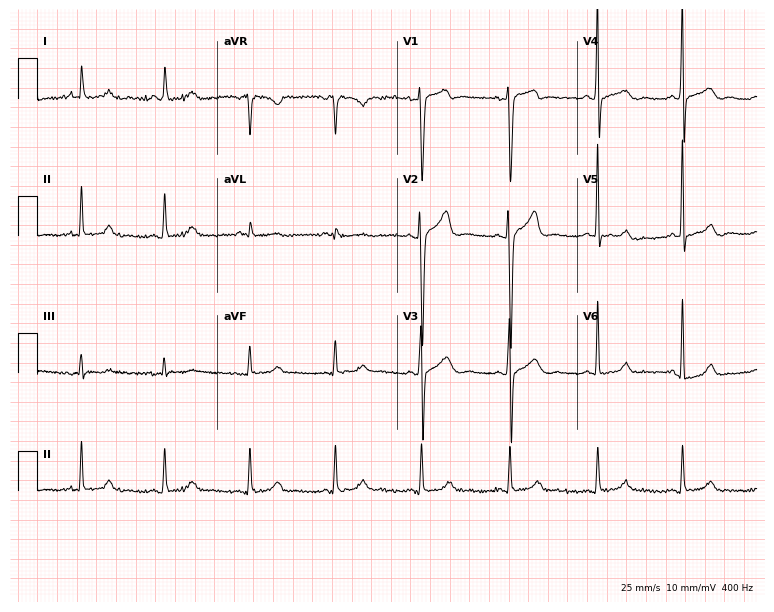
12-lead ECG from a man, 48 years old (7.3-second recording at 400 Hz). No first-degree AV block, right bundle branch block (RBBB), left bundle branch block (LBBB), sinus bradycardia, atrial fibrillation (AF) or sinus tachycardia recorded for this tracing.